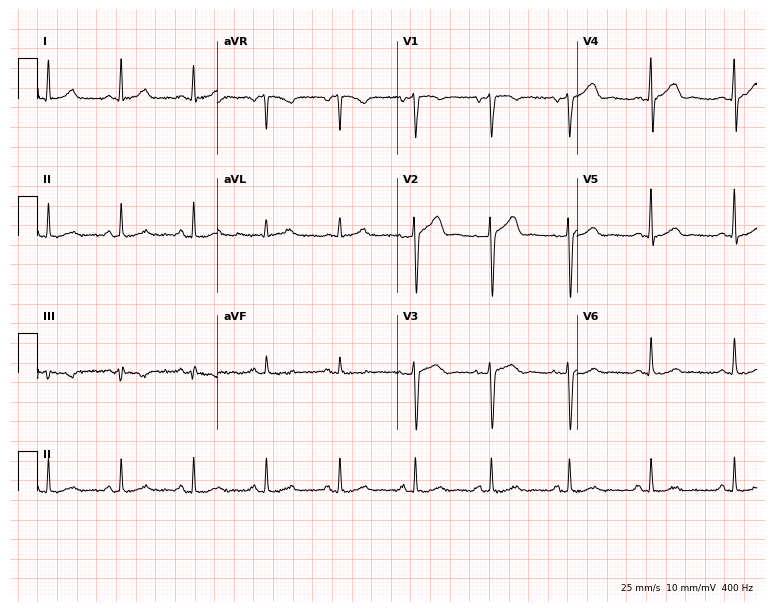
Resting 12-lead electrocardiogram (7.3-second recording at 400 Hz). Patient: a man, 57 years old. Read as a normal ECG.